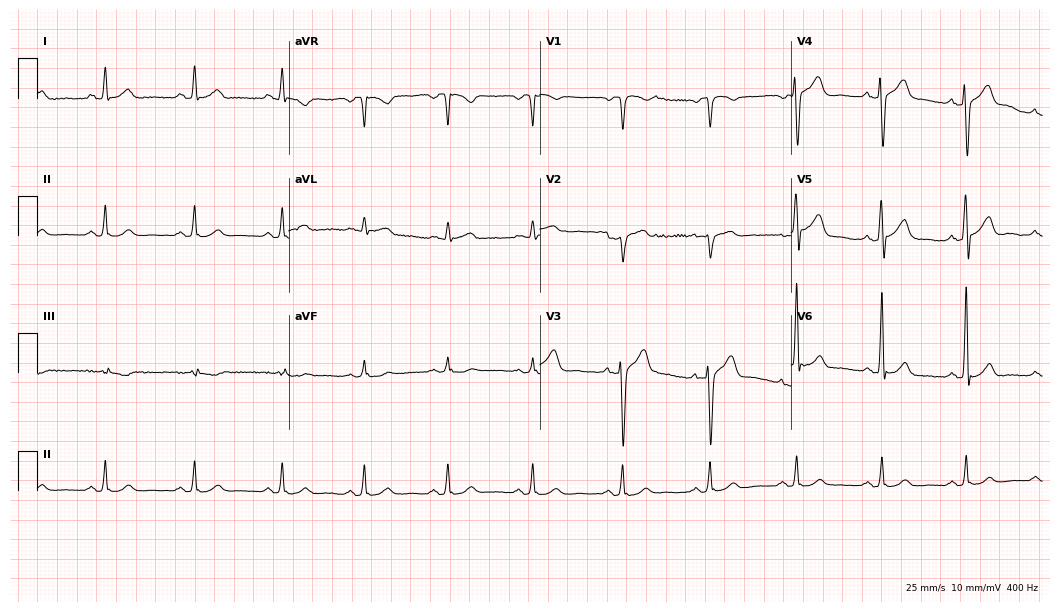
ECG — a man, 39 years old. Labelled as a normal ECG.